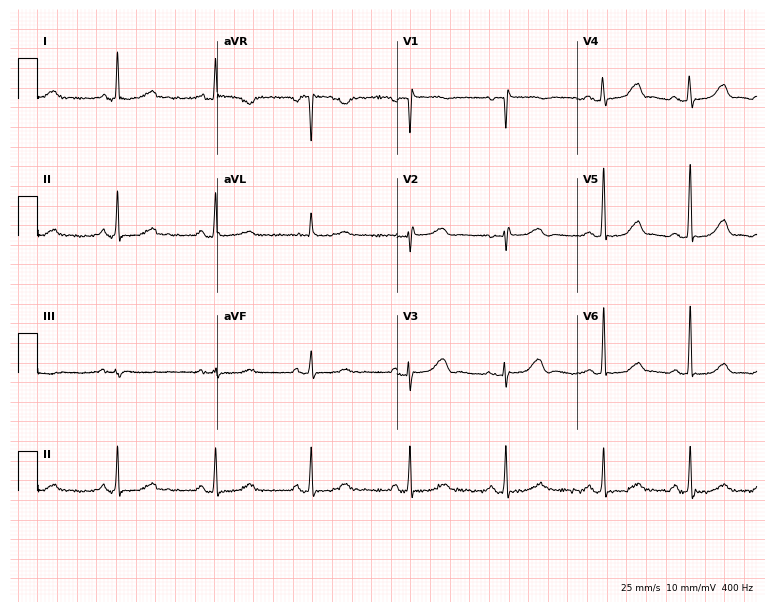
Standard 12-lead ECG recorded from a female patient, 49 years old (7.3-second recording at 400 Hz). None of these six findings is recorded: first-degree AV block, right bundle branch block, left bundle branch block, sinus bradycardia, atrial fibrillation, sinus tachycardia. Other findings, if any, are not listed.